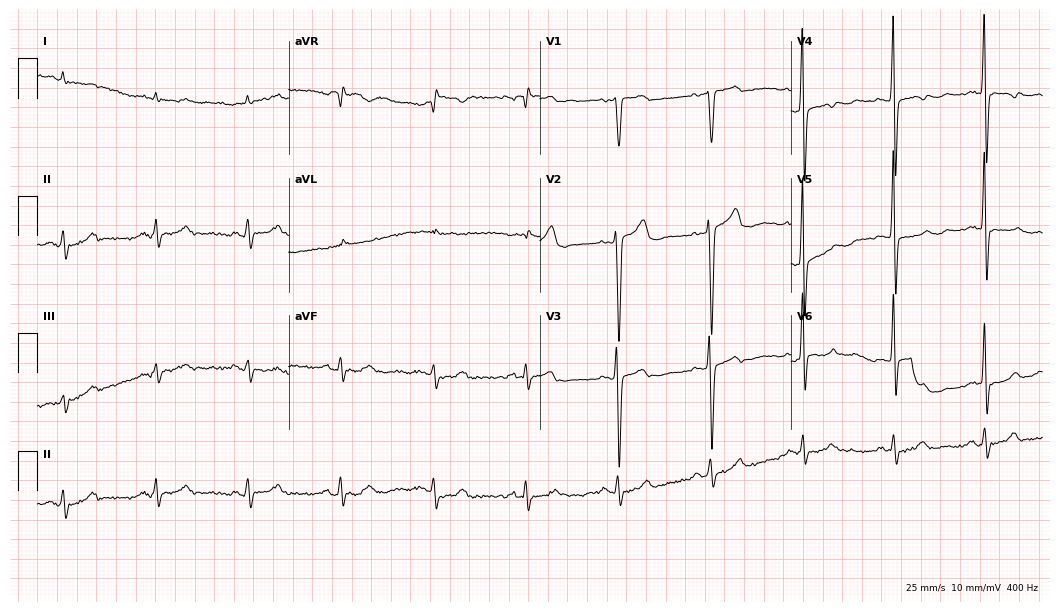
12-lead ECG (10.2-second recording at 400 Hz) from a 54-year-old man. Screened for six findings — first-degree AV block, right bundle branch block, left bundle branch block, sinus bradycardia, atrial fibrillation, sinus tachycardia — none is recorded.